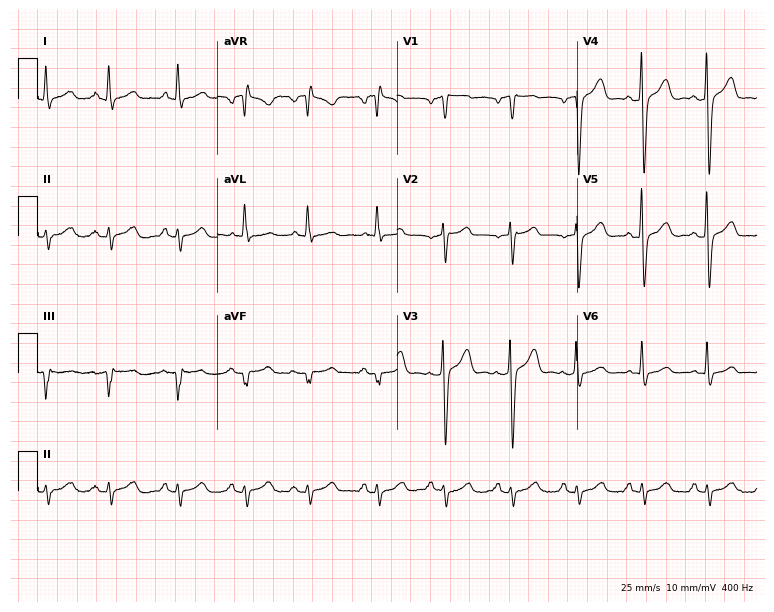
12-lead ECG from a man, 67 years old. No first-degree AV block, right bundle branch block, left bundle branch block, sinus bradycardia, atrial fibrillation or sinus tachycardia recorded for this tracing.